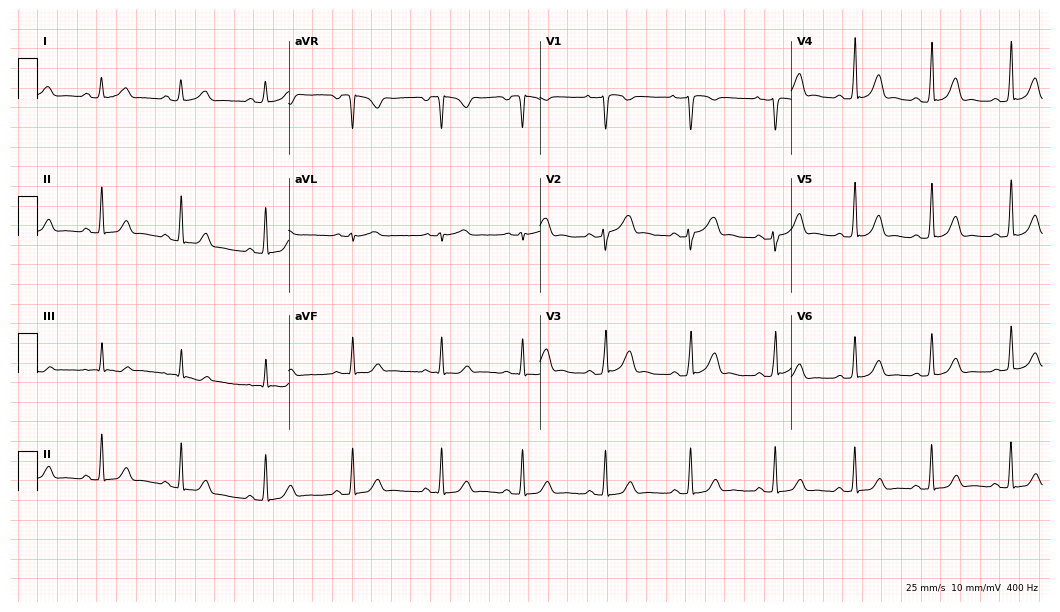
12-lead ECG from a female, 25 years old. Recorded interpretation: within normal limits.